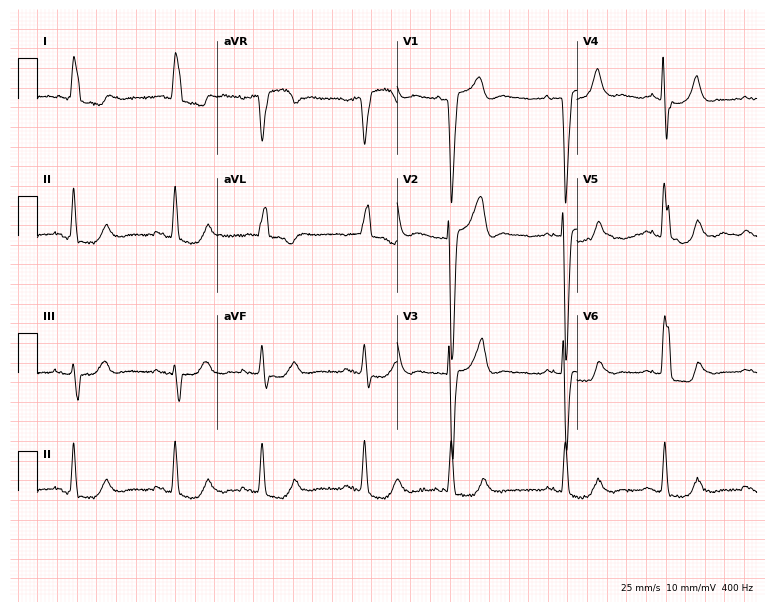
Standard 12-lead ECG recorded from an 84-year-old female. The tracing shows left bundle branch block.